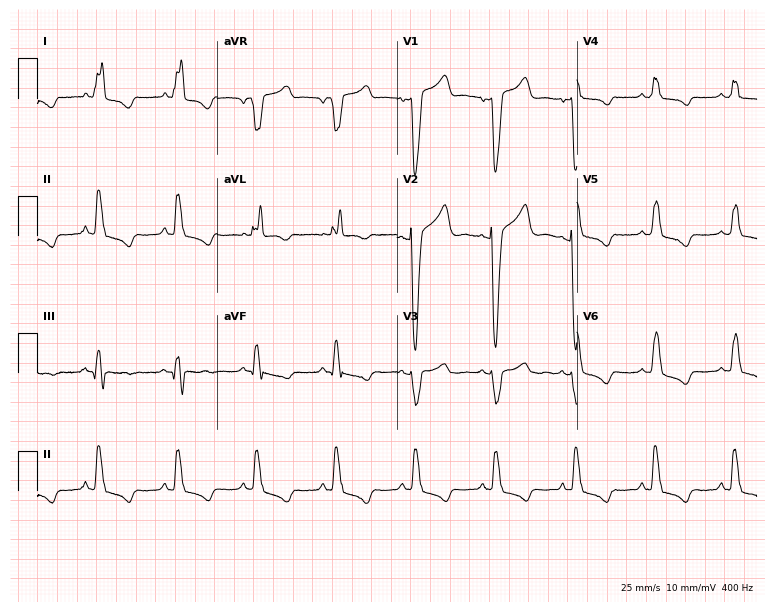
Resting 12-lead electrocardiogram (7.3-second recording at 400 Hz). Patient: an 88-year-old female. The tracing shows left bundle branch block.